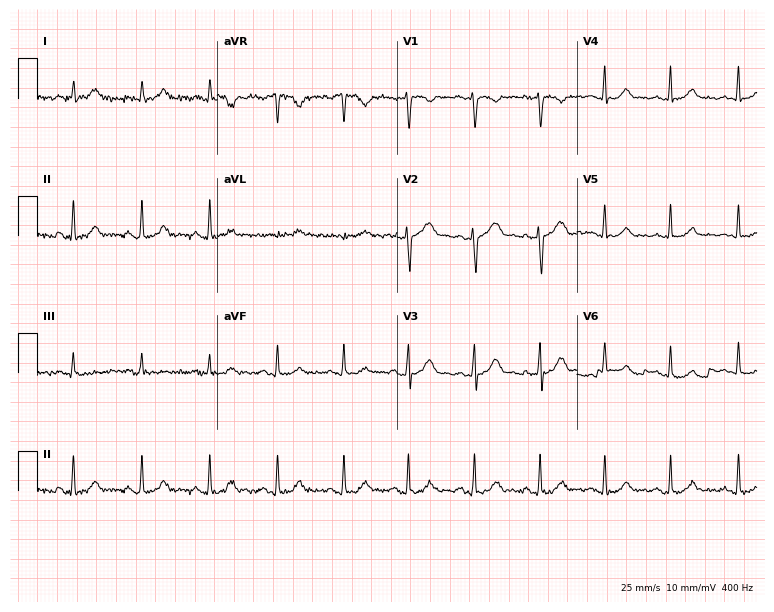
Resting 12-lead electrocardiogram (7.3-second recording at 400 Hz). Patient: a female, 30 years old. None of these six findings is recorded: first-degree AV block, right bundle branch block (RBBB), left bundle branch block (LBBB), sinus bradycardia, atrial fibrillation (AF), sinus tachycardia. Only these six findings were labelled.